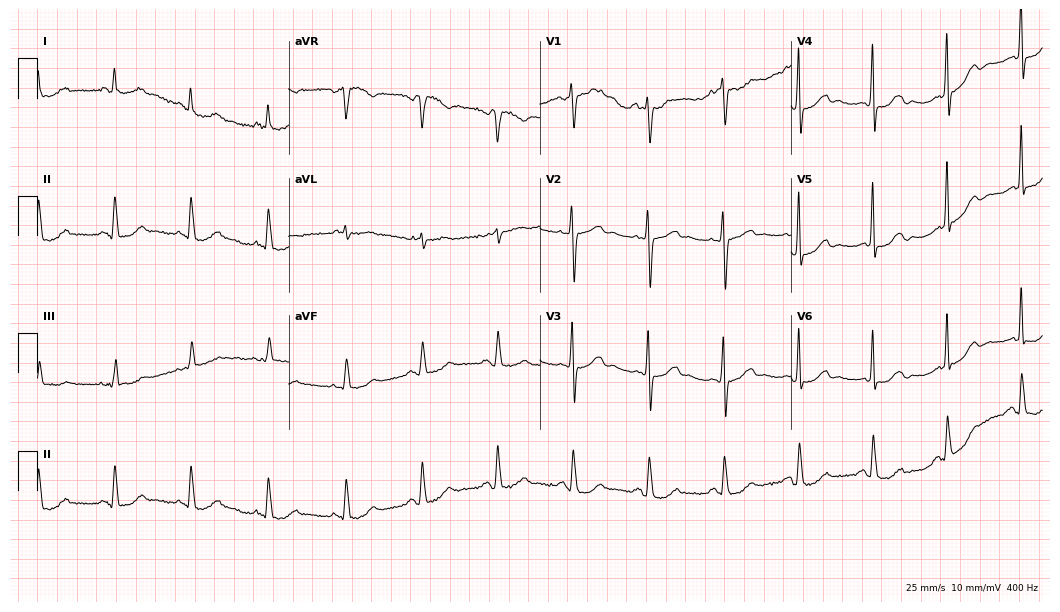
Resting 12-lead electrocardiogram. Patient: a female, 65 years old. None of these six findings is recorded: first-degree AV block, right bundle branch block, left bundle branch block, sinus bradycardia, atrial fibrillation, sinus tachycardia.